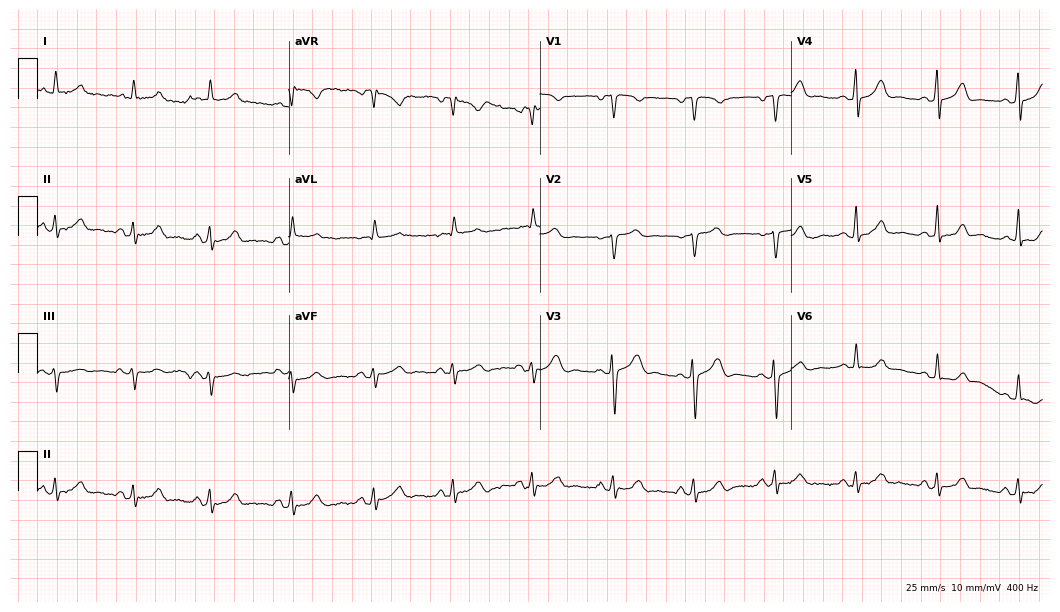
ECG — a man, 40 years old. Screened for six findings — first-degree AV block, right bundle branch block, left bundle branch block, sinus bradycardia, atrial fibrillation, sinus tachycardia — none is recorded. Other findings, if any, are not listed.